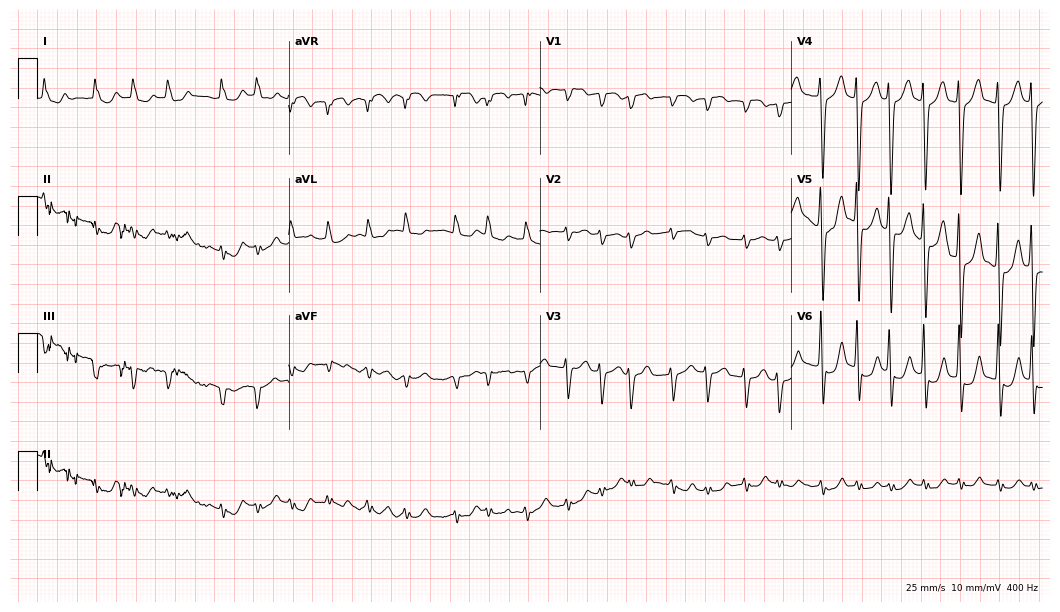
Electrocardiogram, a 61-year-old man. Of the six screened findings (first-degree AV block, right bundle branch block, left bundle branch block, sinus bradycardia, atrial fibrillation, sinus tachycardia), none is recorded. Findings outside these six are not listed.